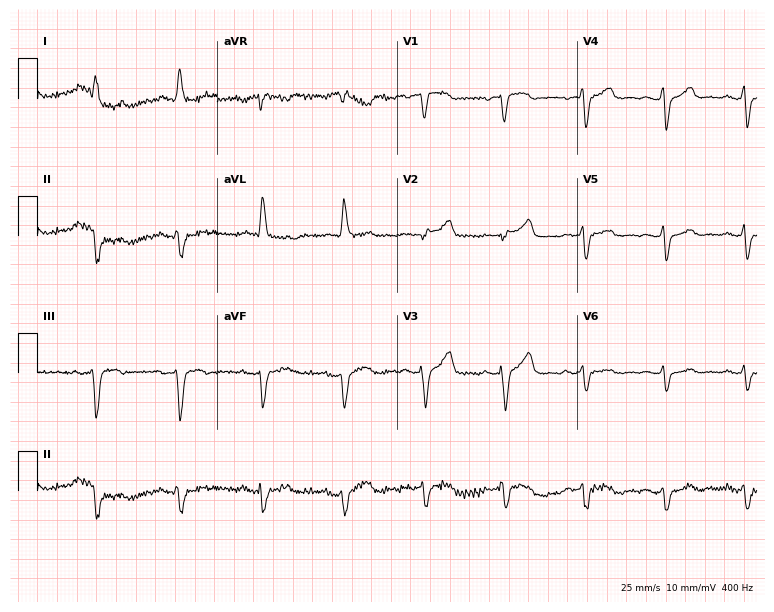
ECG — a man, 76 years old. Screened for six findings — first-degree AV block, right bundle branch block (RBBB), left bundle branch block (LBBB), sinus bradycardia, atrial fibrillation (AF), sinus tachycardia — none is recorded. Findings outside these six are not listed.